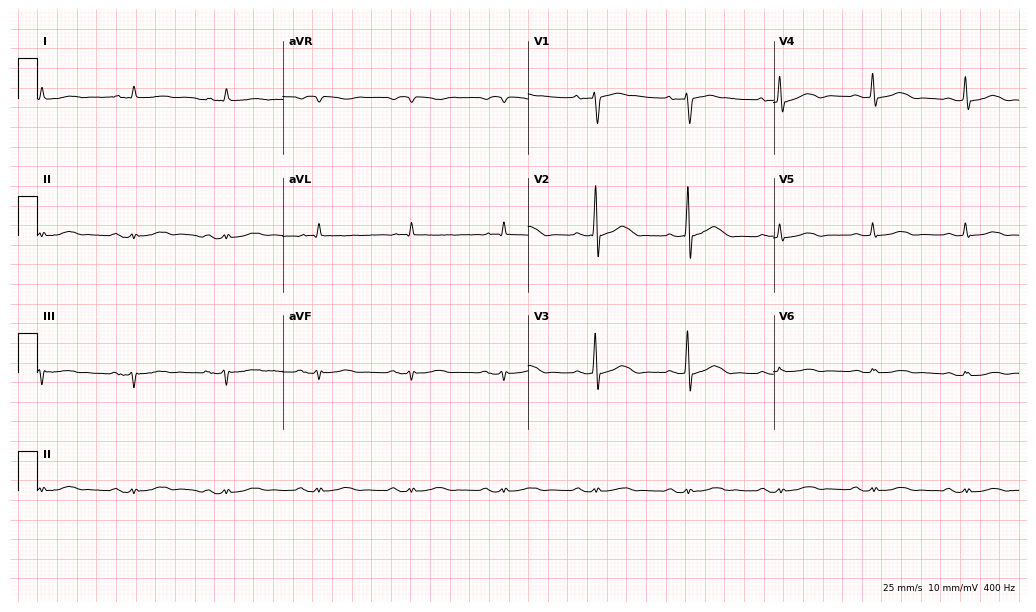
Standard 12-lead ECG recorded from a man, 80 years old (10-second recording at 400 Hz). None of these six findings is recorded: first-degree AV block, right bundle branch block, left bundle branch block, sinus bradycardia, atrial fibrillation, sinus tachycardia.